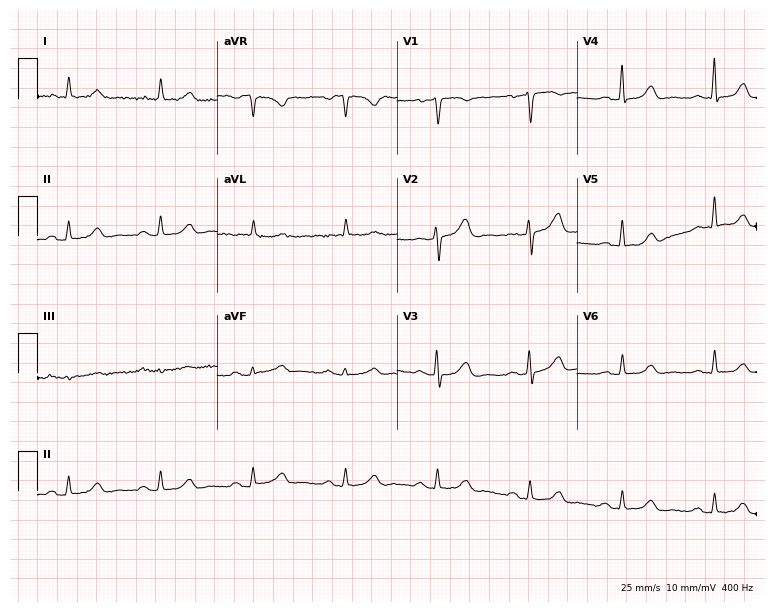
Standard 12-lead ECG recorded from a 77-year-old female. None of these six findings is recorded: first-degree AV block, right bundle branch block (RBBB), left bundle branch block (LBBB), sinus bradycardia, atrial fibrillation (AF), sinus tachycardia. Other findings, if any, are not listed.